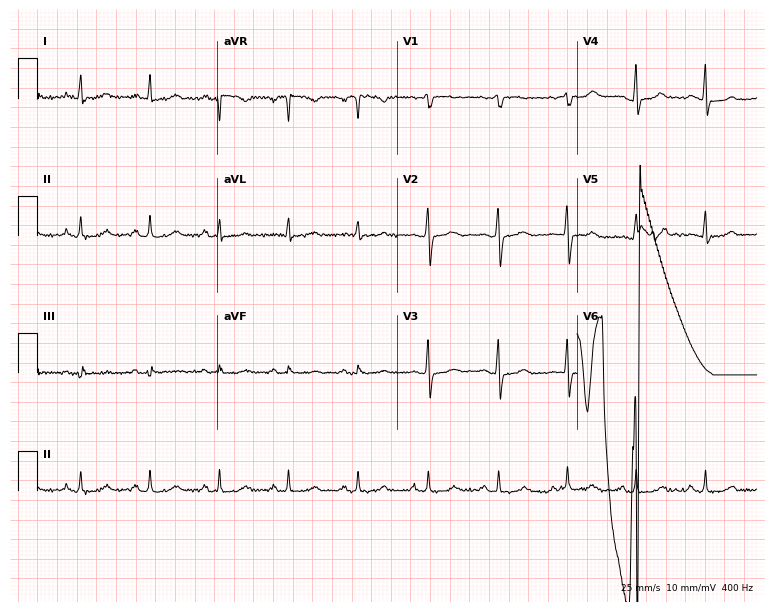
ECG — a 57-year-old female patient. Screened for six findings — first-degree AV block, right bundle branch block (RBBB), left bundle branch block (LBBB), sinus bradycardia, atrial fibrillation (AF), sinus tachycardia — none is recorded.